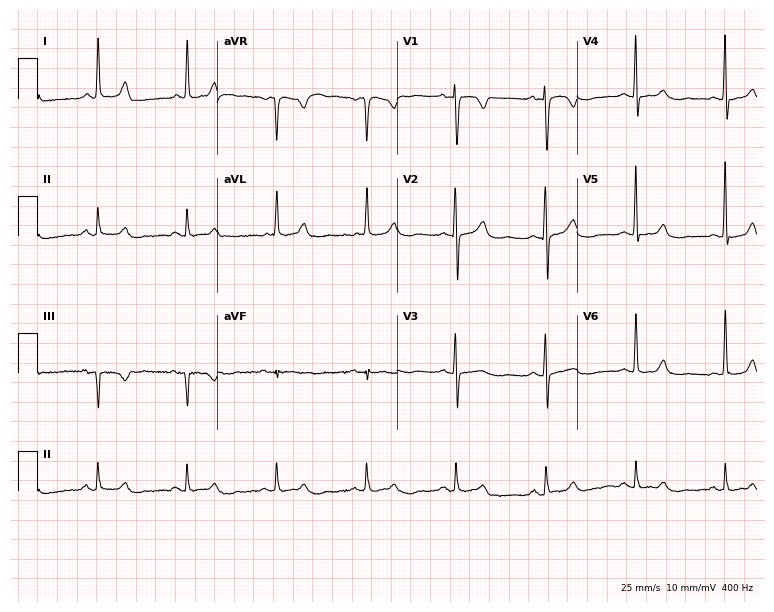
12-lead ECG from a 78-year-old female (7.3-second recording at 400 Hz). Recorded interpretation: within normal limits.